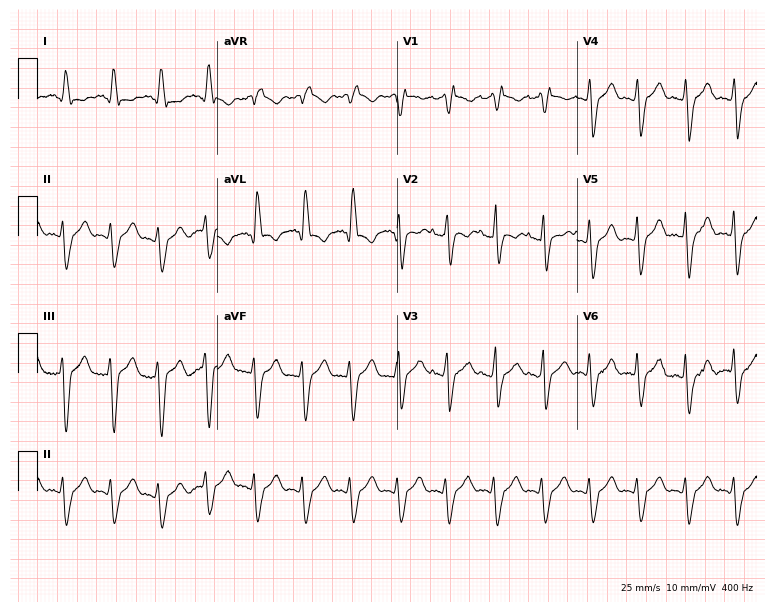
ECG — a male patient, 40 years old. Findings include sinus tachycardia (a sinus rate of 100 beats per minute or more).